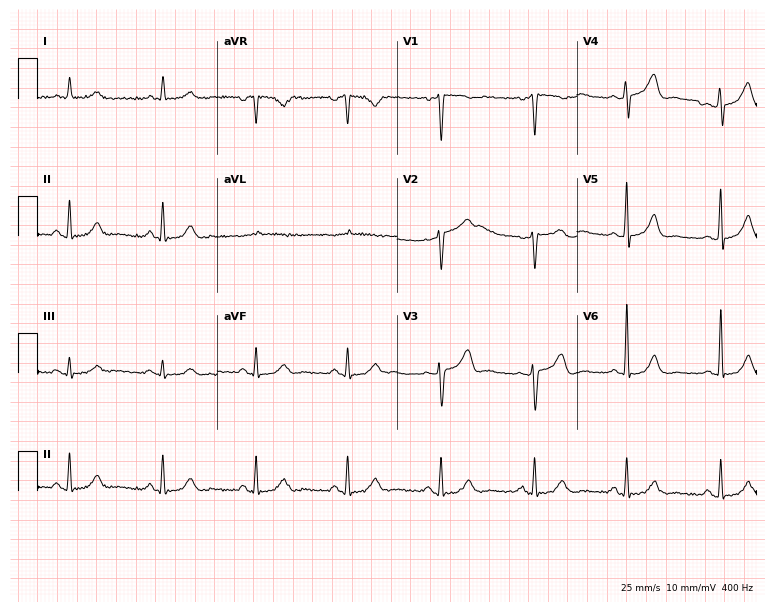
12-lead ECG from a male, 78 years old. Screened for six findings — first-degree AV block, right bundle branch block, left bundle branch block, sinus bradycardia, atrial fibrillation, sinus tachycardia — none is recorded. Only these six findings were labelled.